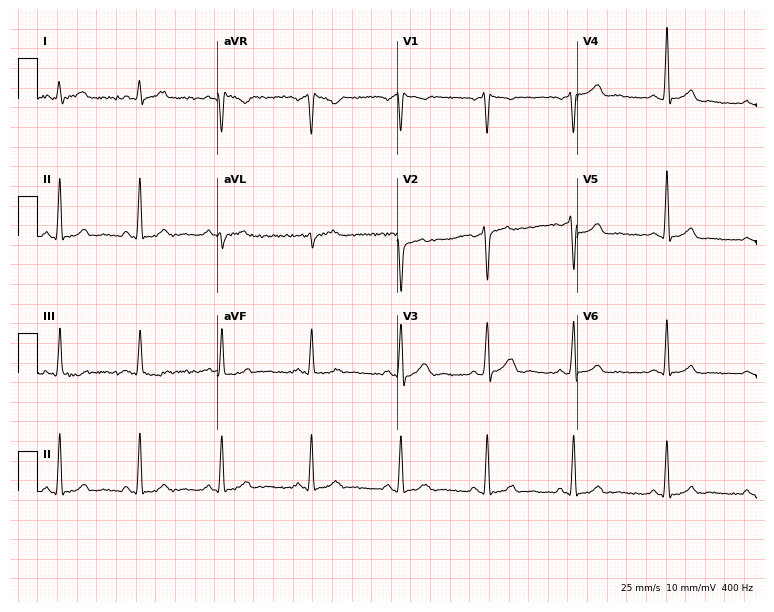
ECG — a 34-year-old male patient. Screened for six findings — first-degree AV block, right bundle branch block (RBBB), left bundle branch block (LBBB), sinus bradycardia, atrial fibrillation (AF), sinus tachycardia — none is recorded. Only these six findings were labelled.